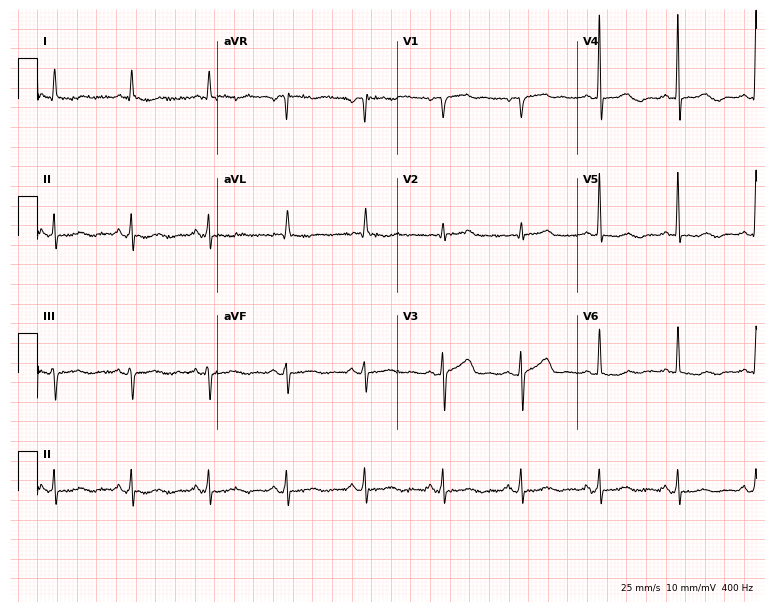
Resting 12-lead electrocardiogram (7.3-second recording at 400 Hz). Patient: a 67-year-old female. None of these six findings is recorded: first-degree AV block, right bundle branch block, left bundle branch block, sinus bradycardia, atrial fibrillation, sinus tachycardia.